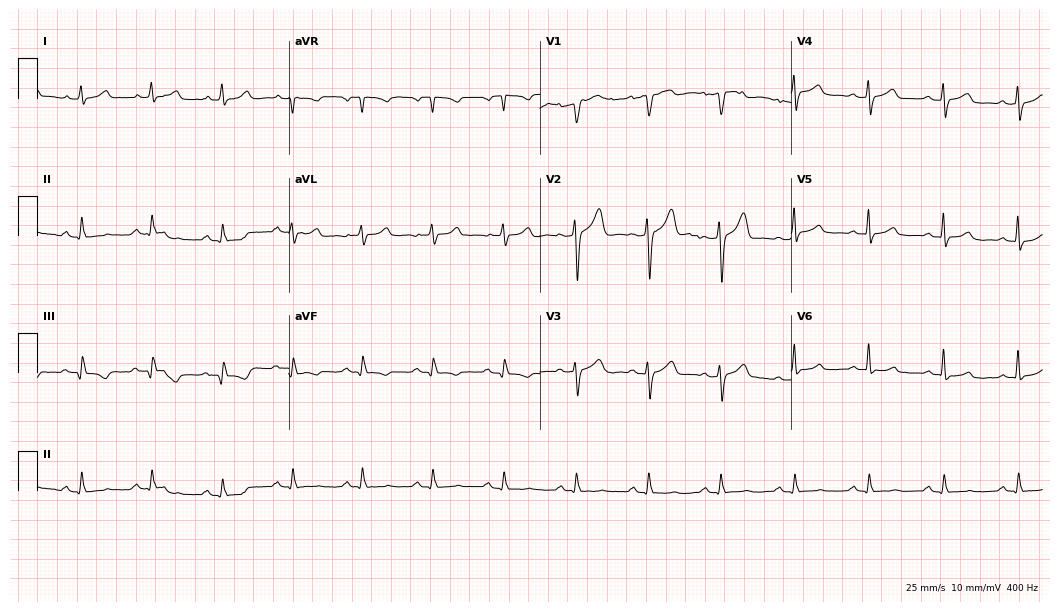
Standard 12-lead ECG recorded from a 63-year-old male. None of these six findings is recorded: first-degree AV block, right bundle branch block, left bundle branch block, sinus bradycardia, atrial fibrillation, sinus tachycardia.